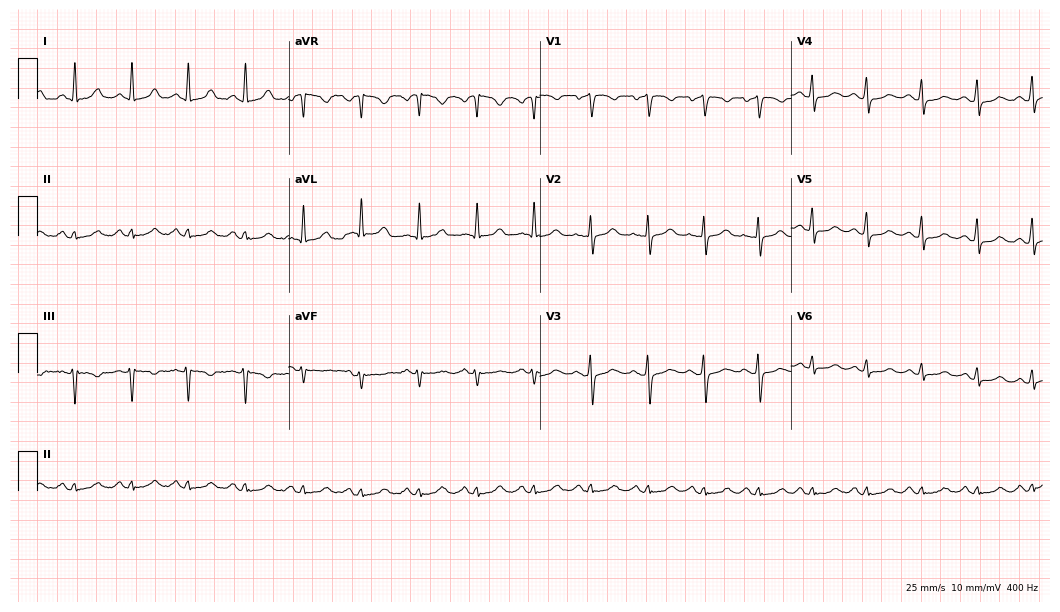
12-lead ECG from a woman, 68 years old. Findings include sinus tachycardia (a sinus rate of 100 beats per minute or more).